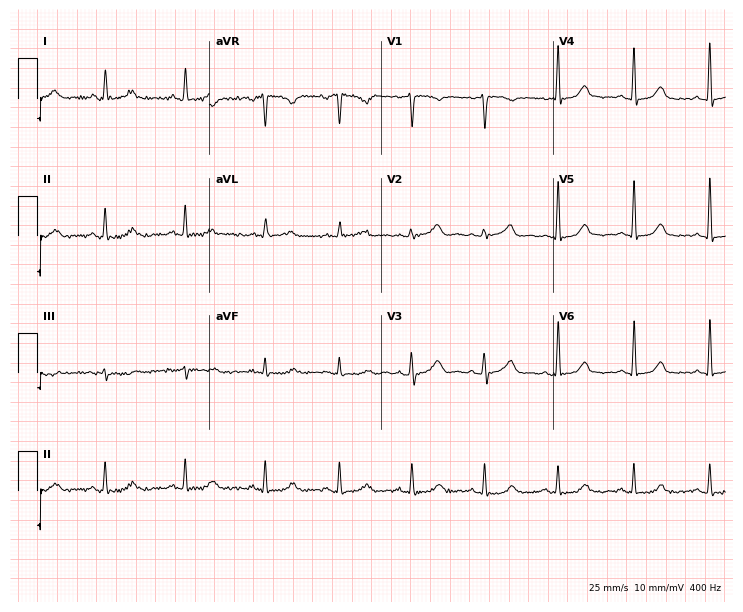
ECG — a 47-year-old woman. Screened for six findings — first-degree AV block, right bundle branch block, left bundle branch block, sinus bradycardia, atrial fibrillation, sinus tachycardia — none is recorded.